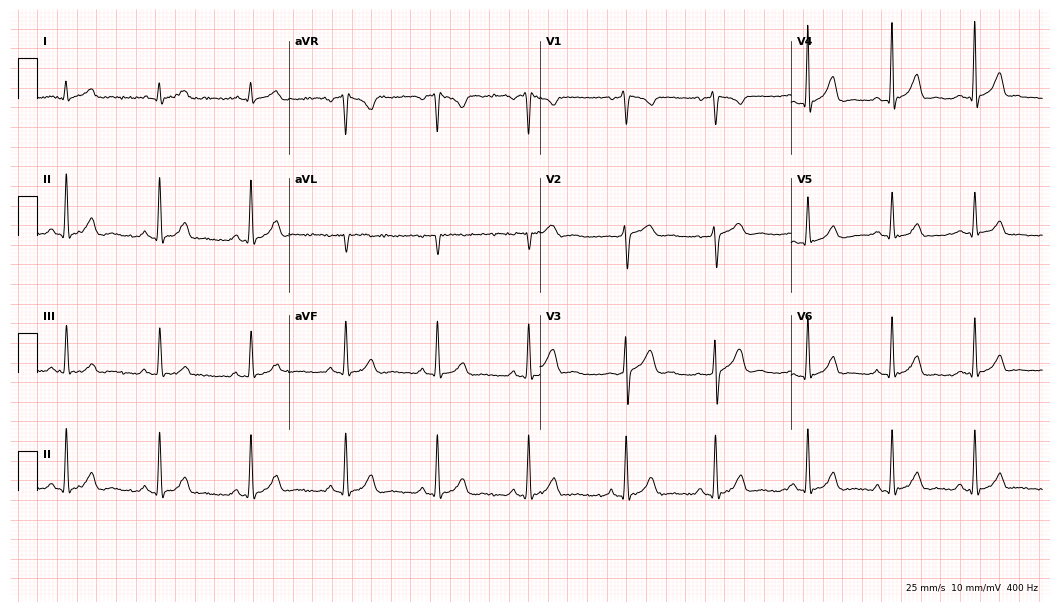
12-lead ECG from a 19-year-old male (10.2-second recording at 400 Hz). Recorded interpretation: within normal limits.